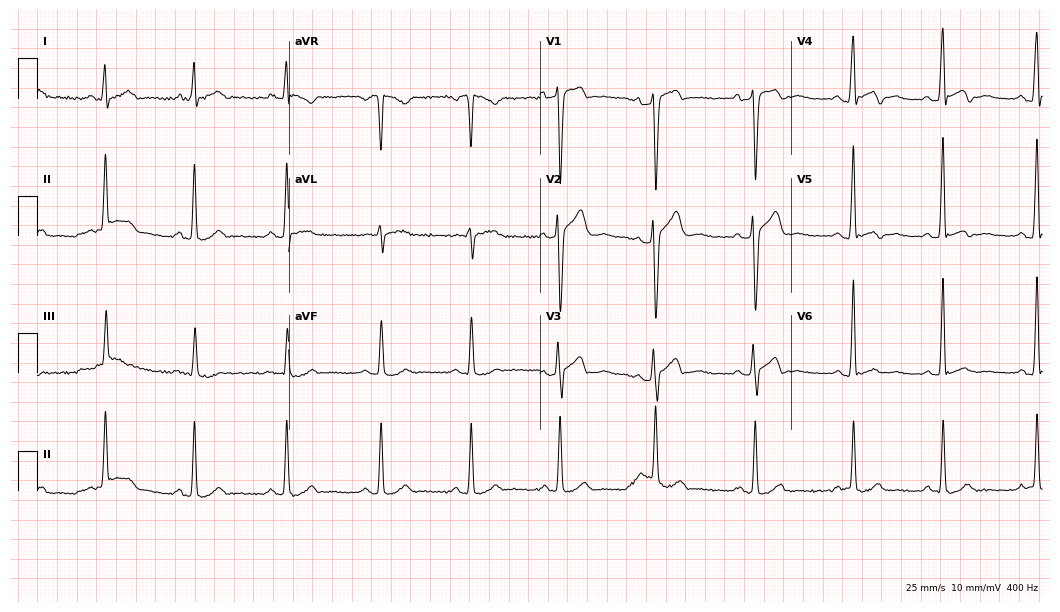
Standard 12-lead ECG recorded from a 44-year-old man. Read as a normal ECG.